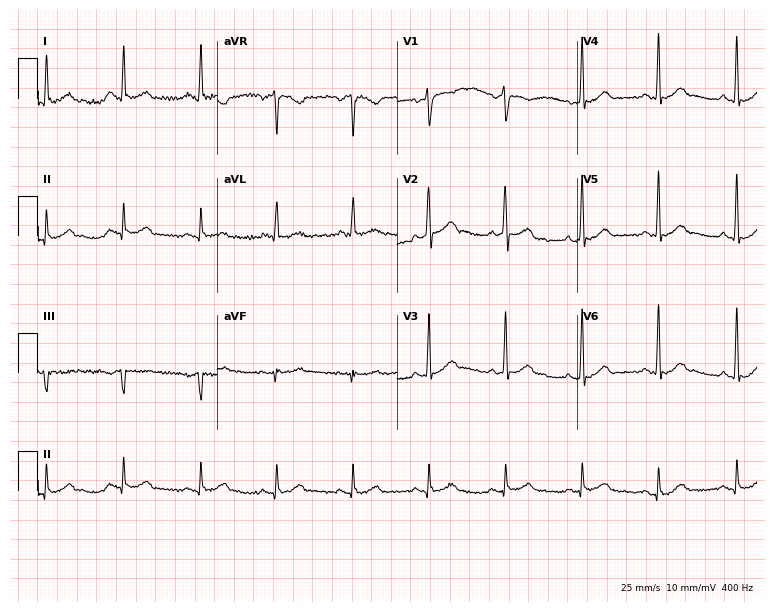
Electrocardiogram, a male patient, 54 years old. Of the six screened findings (first-degree AV block, right bundle branch block (RBBB), left bundle branch block (LBBB), sinus bradycardia, atrial fibrillation (AF), sinus tachycardia), none is recorded.